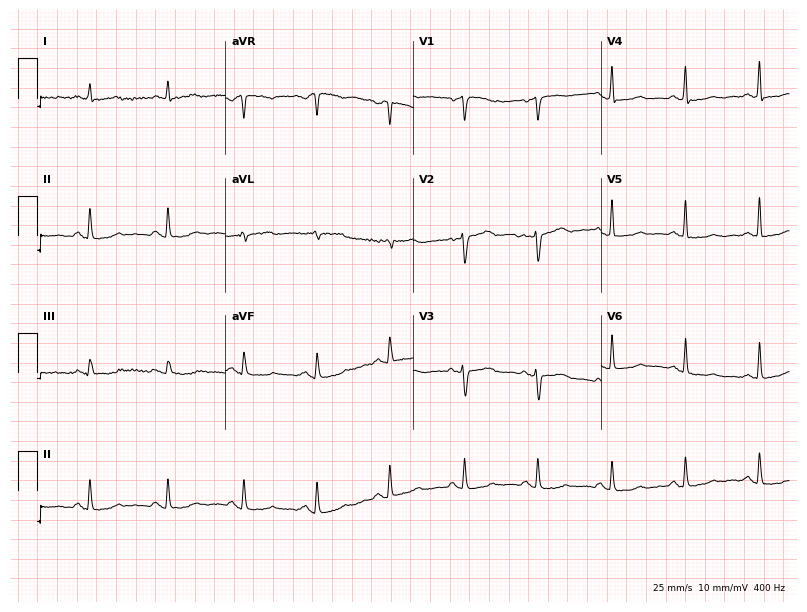
Standard 12-lead ECG recorded from a 55-year-old female (7.7-second recording at 400 Hz). None of these six findings is recorded: first-degree AV block, right bundle branch block, left bundle branch block, sinus bradycardia, atrial fibrillation, sinus tachycardia.